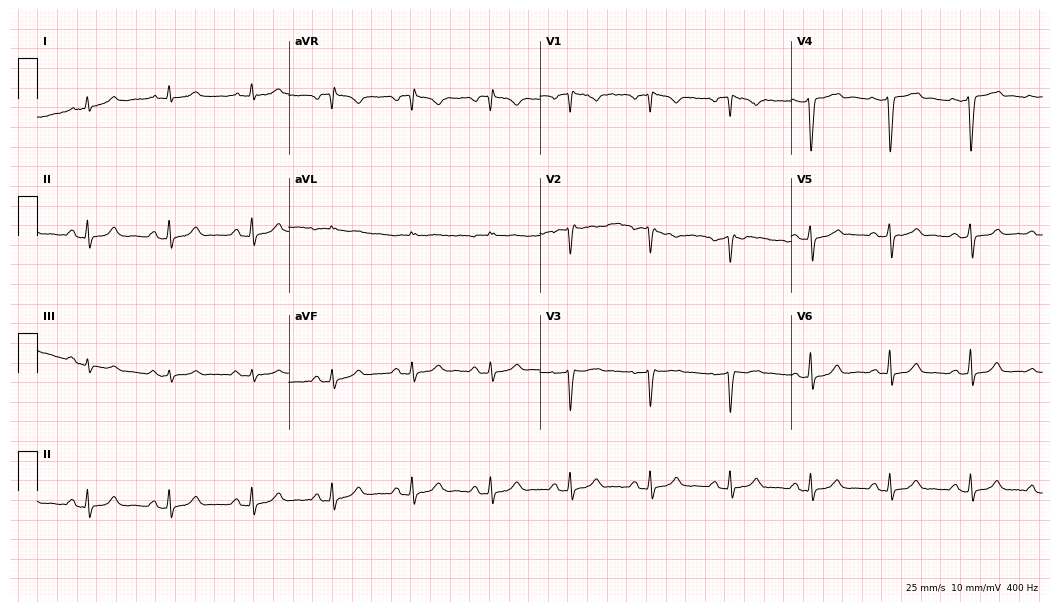
Resting 12-lead electrocardiogram. Patient: a 17-year-old woman. None of these six findings is recorded: first-degree AV block, right bundle branch block, left bundle branch block, sinus bradycardia, atrial fibrillation, sinus tachycardia. Findings outside these six are not listed.